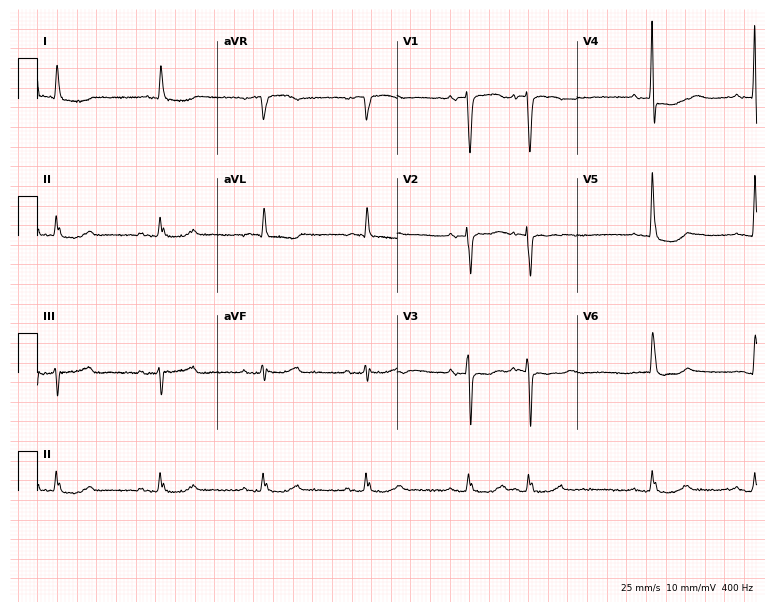
ECG (7.3-second recording at 400 Hz) — a male patient, 85 years old. Labelled as a normal ECG.